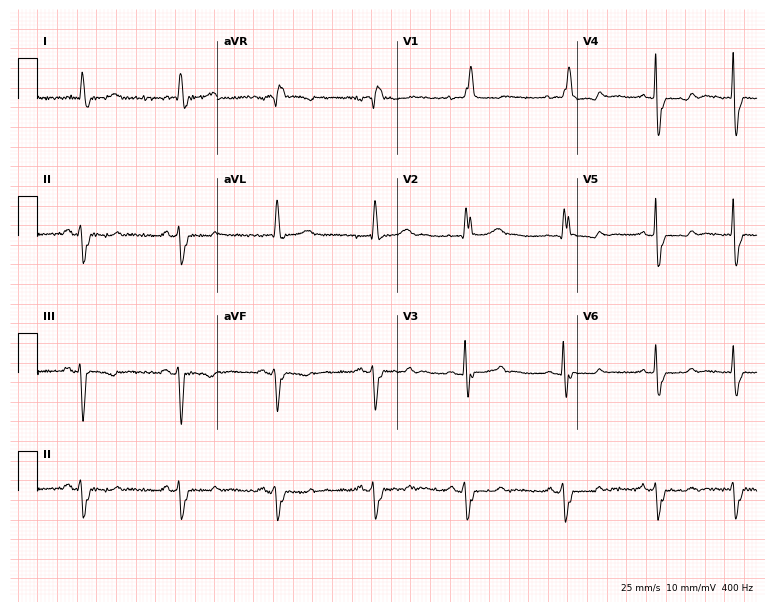
ECG (7.3-second recording at 400 Hz) — a 63-year-old female patient. Findings include right bundle branch block.